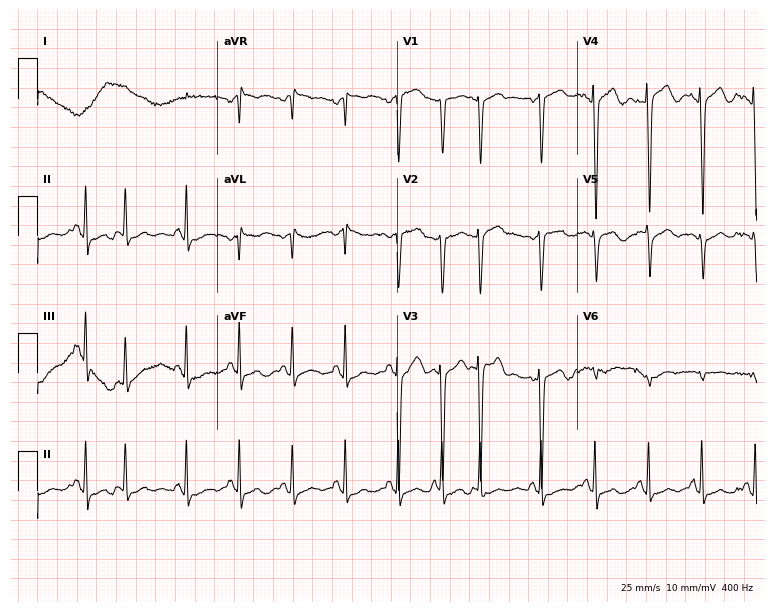
ECG (7.3-second recording at 400 Hz) — a female patient, 74 years old. Screened for six findings — first-degree AV block, right bundle branch block, left bundle branch block, sinus bradycardia, atrial fibrillation, sinus tachycardia — none is recorded. Findings outside these six are not listed.